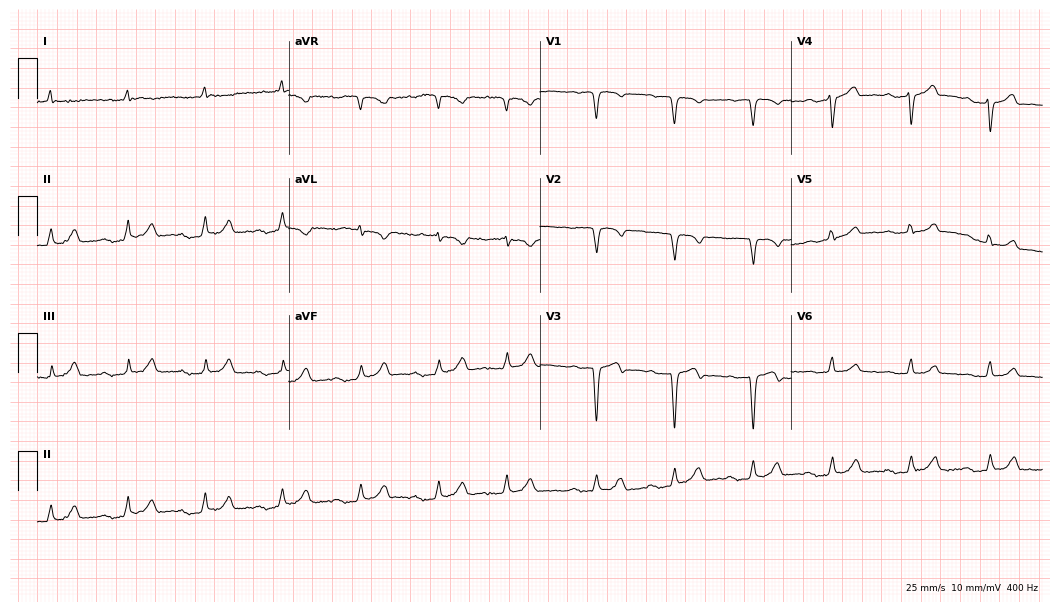
12-lead ECG from a male patient, 82 years old (10.2-second recording at 400 Hz). No first-degree AV block, right bundle branch block (RBBB), left bundle branch block (LBBB), sinus bradycardia, atrial fibrillation (AF) or sinus tachycardia recorded for this tracing.